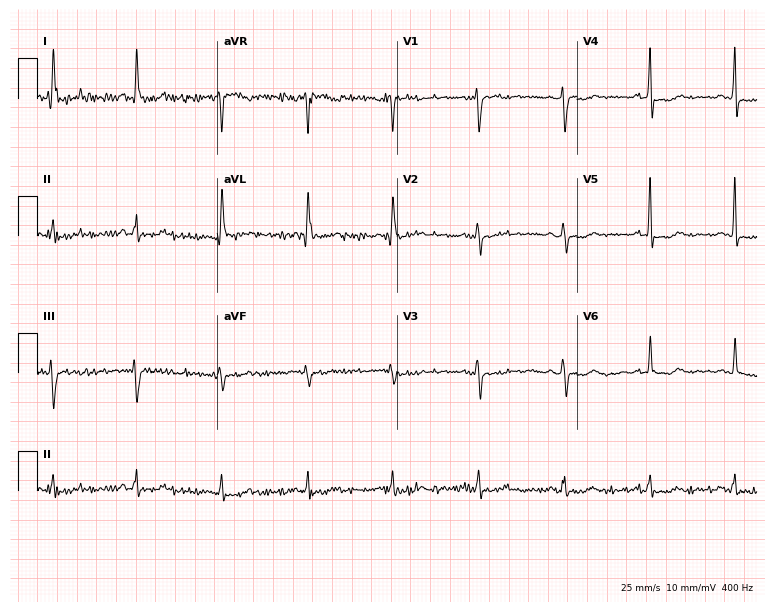
Resting 12-lead electrocardiogram. Patient: a female, 55 years old. None of these six findings is recorded: first-degree AV block, right bundle branch block (RBBB), left bundle branch block (LBBB), sinus bradycardia, atrial fibrillation (AF), sinus tachycardia. Findings outside these six are not listed.